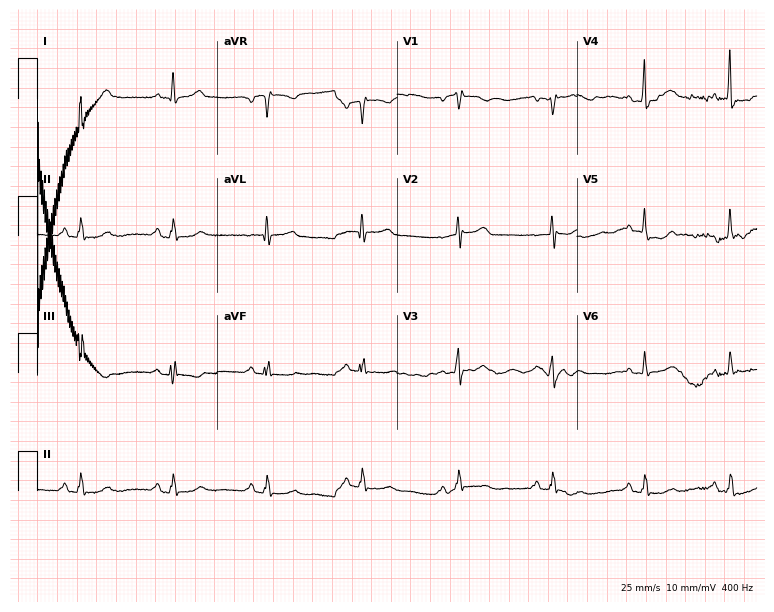
Standard 12-lead ECG recorded from a 67-year-old female patient (7.3-second recording at 400 Hz). None of these six findings is recorded: first-degree AV block, right bundle branch block (RBBB), left bundle branch block (LBBB), sinus bradycardia, atrial fibrillation (AF), sinus tachycardia.